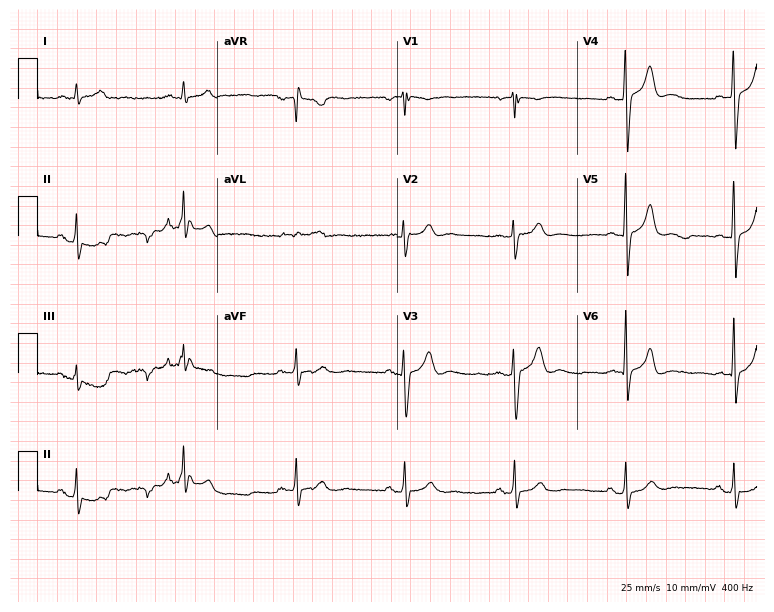
Electrocardiogram (7.3-second recording at 400 Hz), a 34-year-old man. Of the six screened findings (first-degree AV block, right bundle branch block, left bundle branch block, sinus bradycardia, atrial fibrillation, sinus tachycardia), none is recorded.